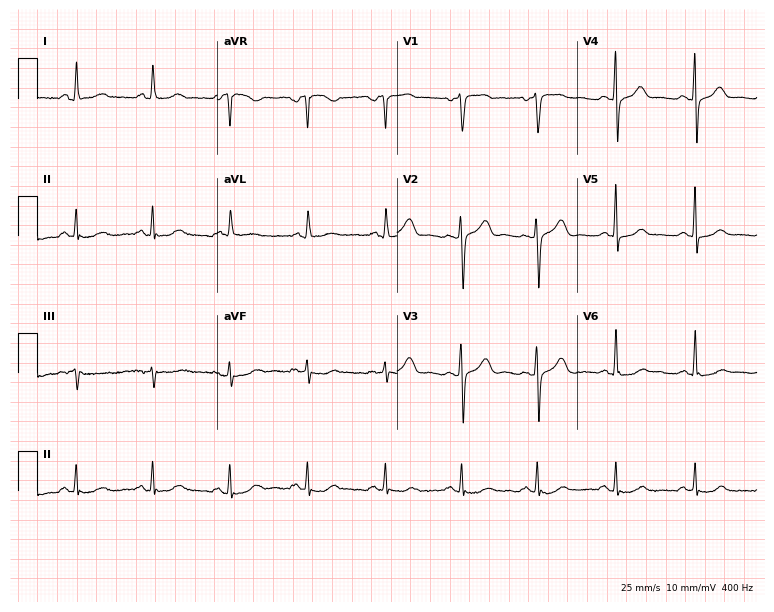
ECG — a 64-year-old female. Screened for six findings — first-degree AV block, right bundle branch block (RBBB), left bundle branch block (LBBB), sinus bradycardia, atrial fibrillation (AF), sinus tachycardia — none is recorded.